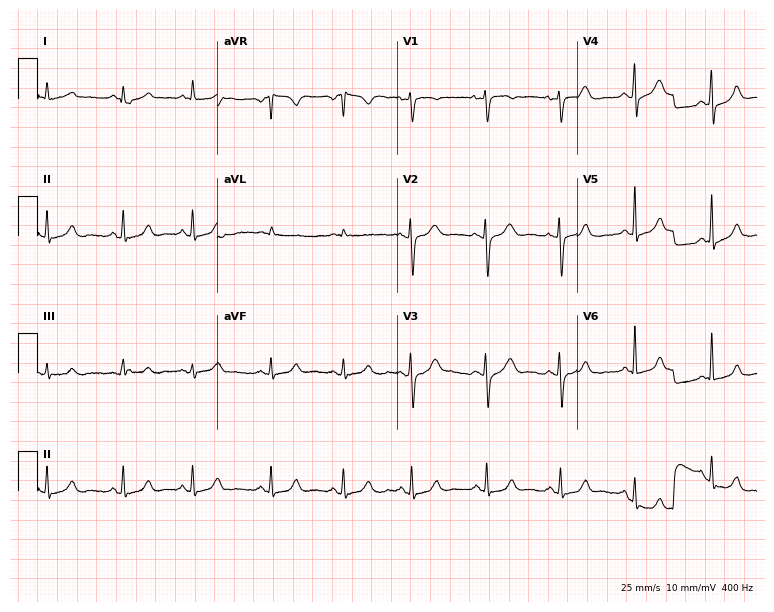
12-lead ECG from a 47-year-old female patient (7.3-second recording at 400 Hz). Recorded interpretation: within normal limits.